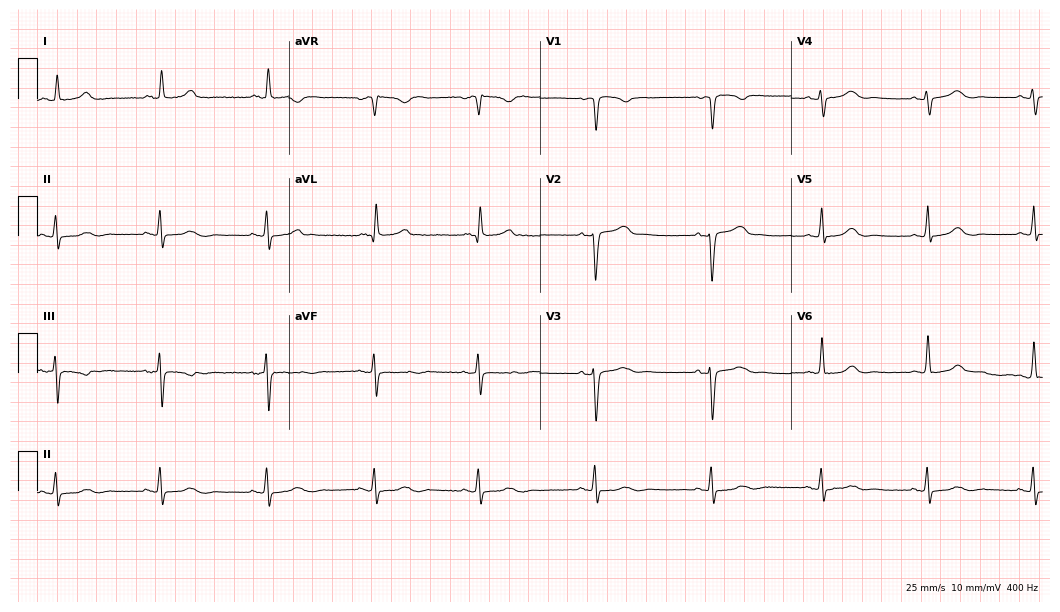
Resting 12-lead electrocardiogram (10.2-second recording at 400 Hz). Patient: a female, 70 years old. Read as a normal ECG.